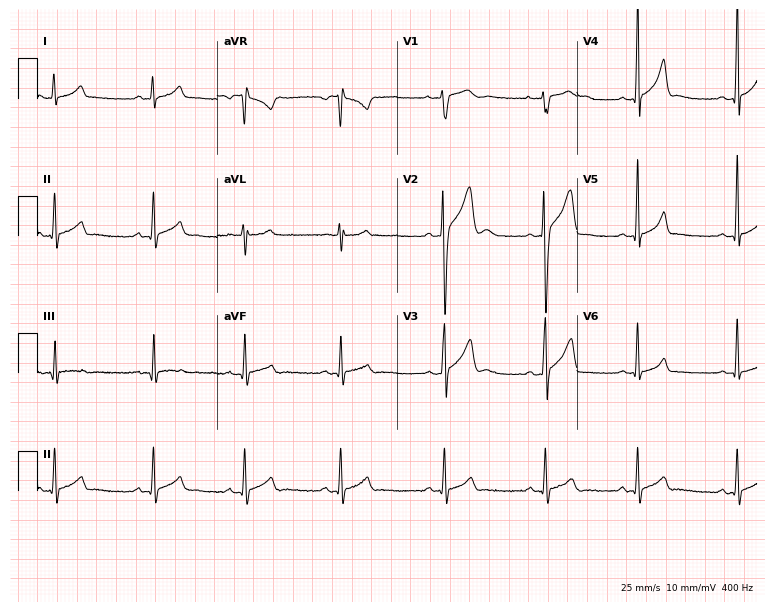
Standard 12-lead ECG recorded from a 20-year-old male (7.3-second recording at 400 Hz). None of these six findings is recorded: first-degree AV block, right bundle branch block (RBBB), left bundle branch block (LBBB), sinus bradycardia, atrial fibrillation (AF), sinus tachycardia.